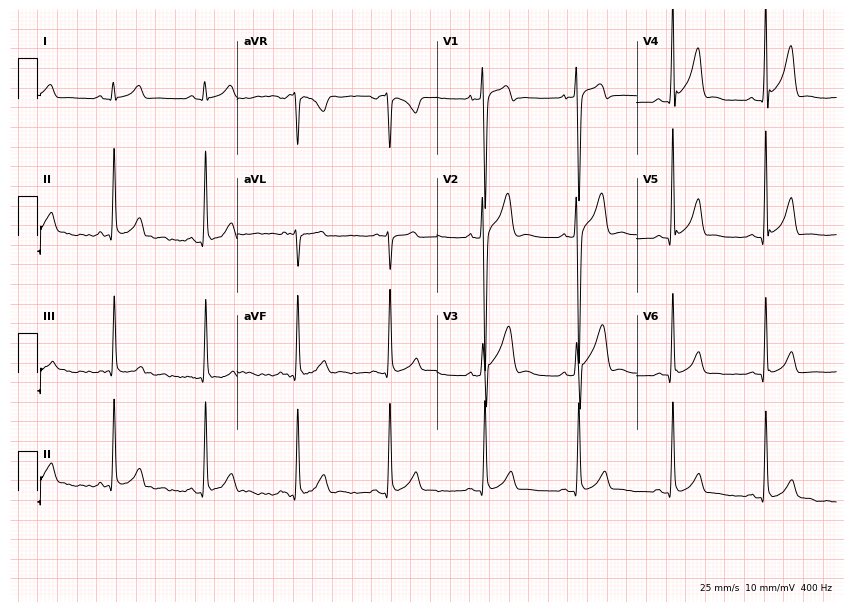
12-lead ECG from an 18-year-old male patient. Recorded interpretation: within normal limits.